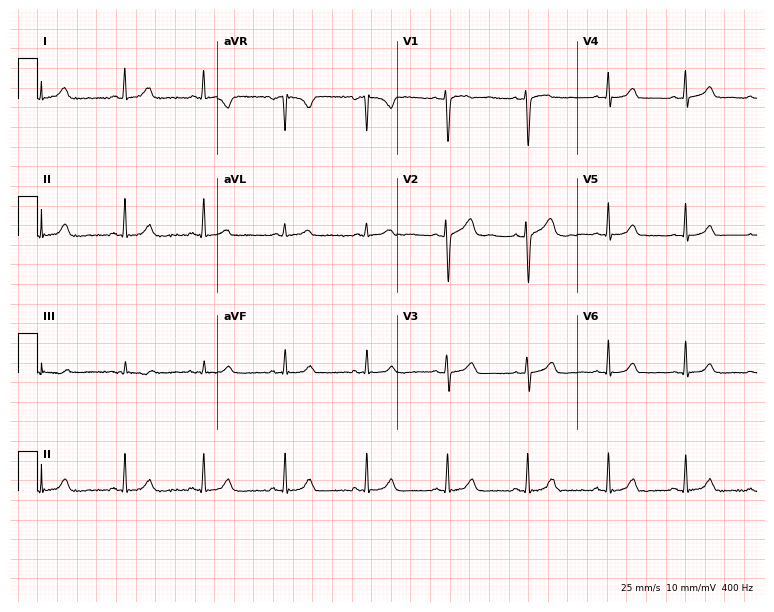
Resting 12-lead electrocardiogram (7.3-second recording at 400 Hz). Patient: a 40-year-old woman. None of these six findings is recorded: first-degree AV block, right bundle branch block, left bundle branch block, sinus bradycardia, atrial fibrillation, sinus tachycardia. Only these six findings were labelled.